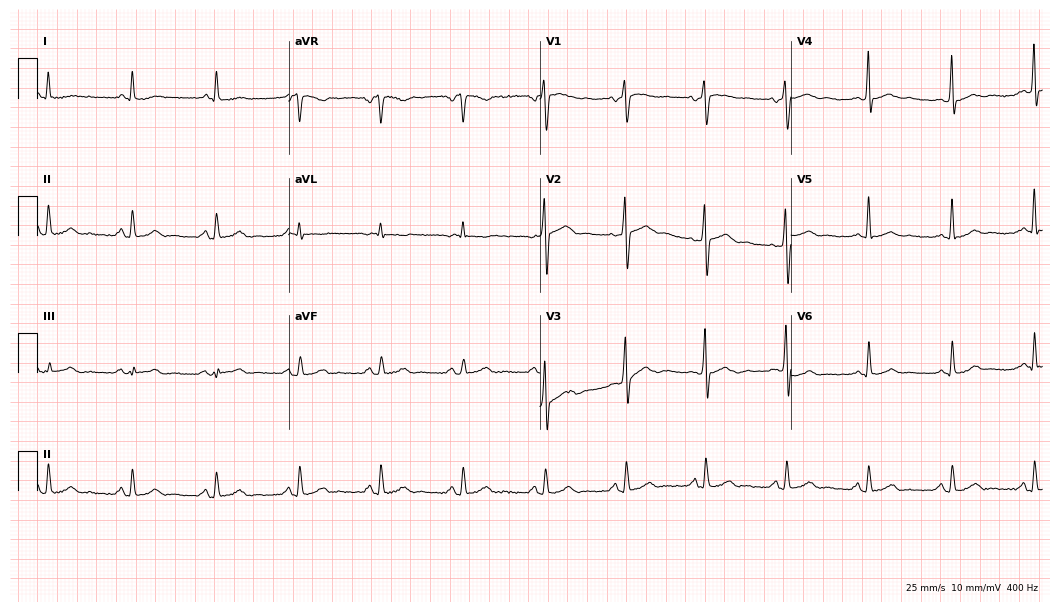
Standard 12-lead ECG recorded from a male, 59 years old. None of these six findings is recorded: first-degree AV block, right bundle branch block (RBBB), left bundle branch block (LBBB), sinus bradycardia, atrial fibrillation (AF), sinus tachycardia.